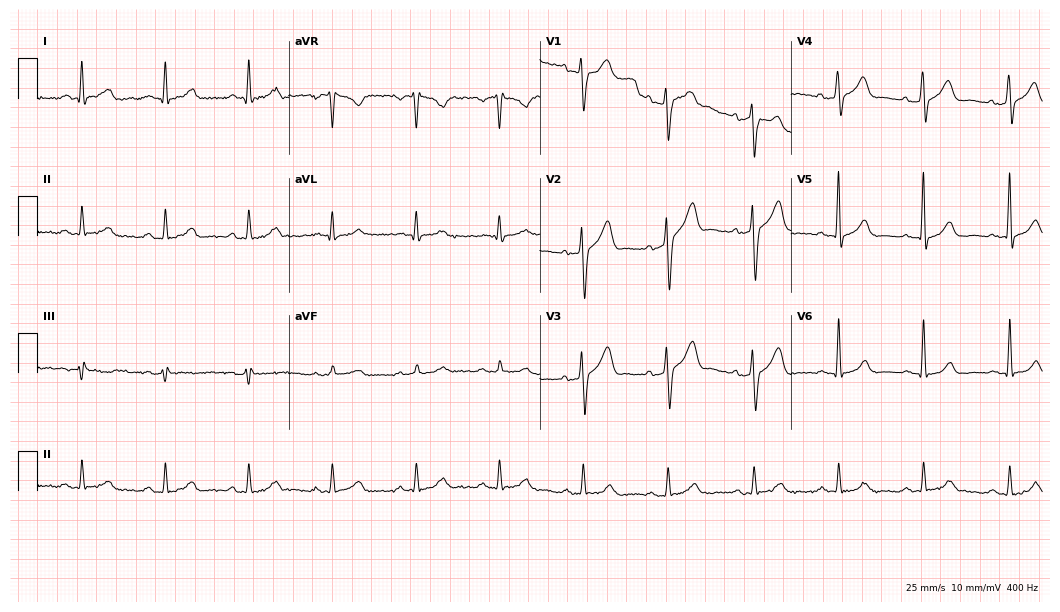
Electrocardiogram (10.2-second recording at 400 Hz), a male patient, 57 years old. Overall reading on record: normal ECG.